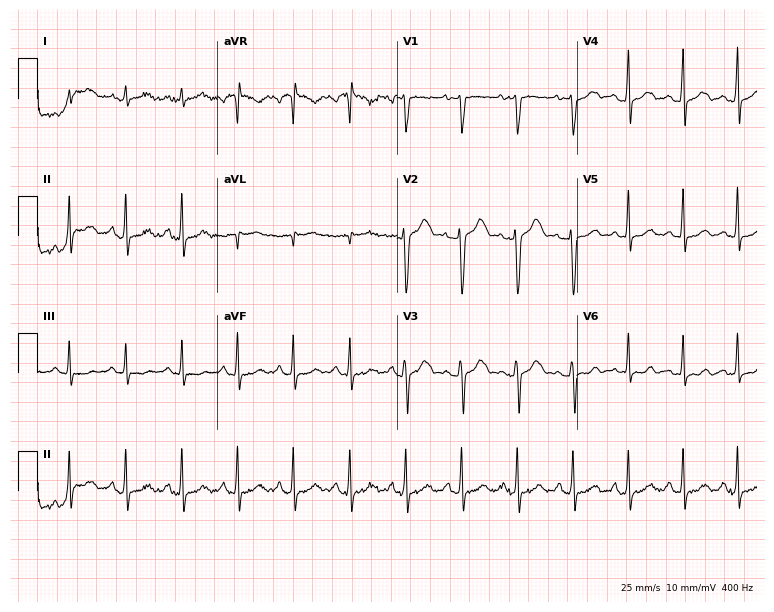
12-lead ECG from a 30-year-old female (7.3-second recording at 400 Hz). Shows sinus tachycardia (a sinus rate of 100 beats per minute or more).